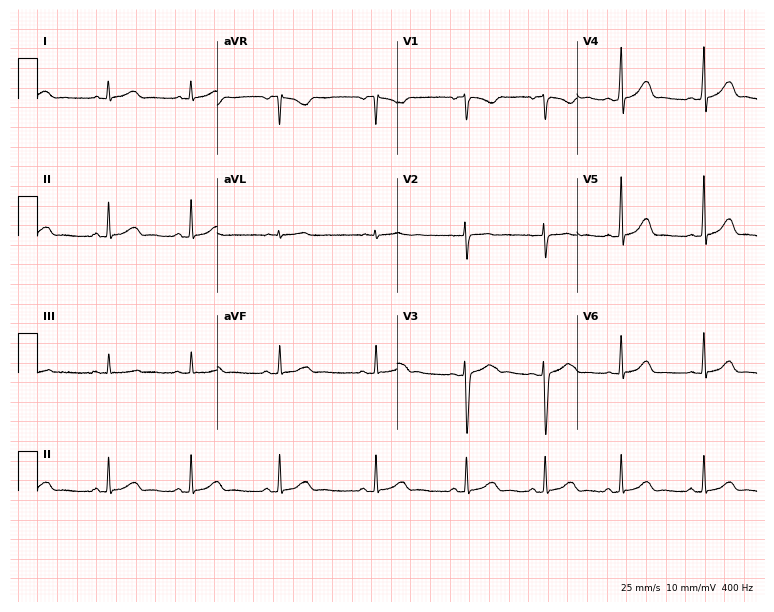
12-lead ECG from a 24-year-old female (7.3-second recording at 400 Hz). Recorded interpretation: within normal limits.